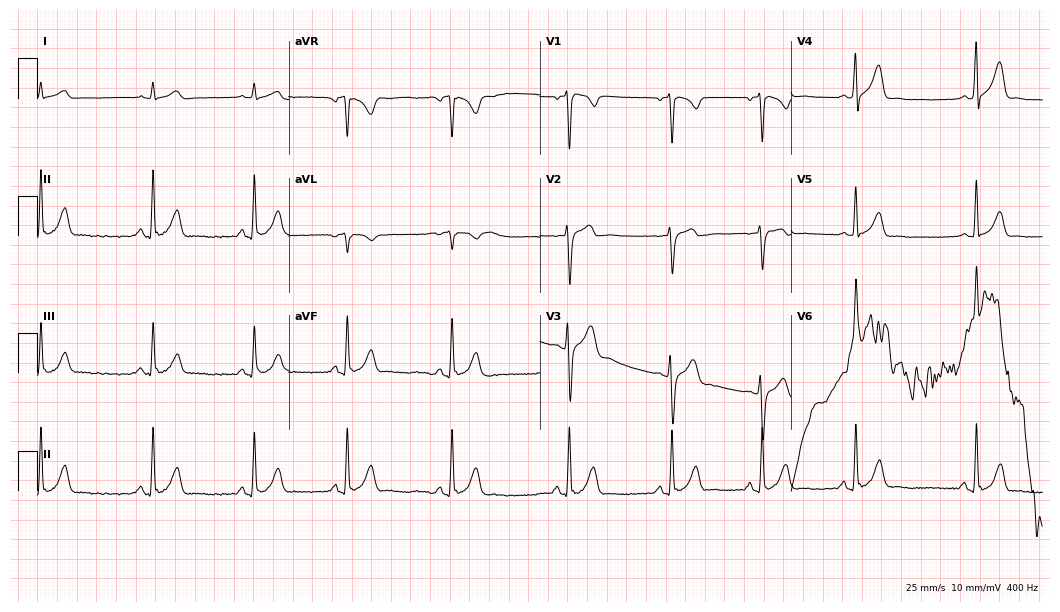
ECG (10.2-second recording at 400 Hz) — a 21-year-old man. Screened for six findings — first-degree AV block, right bundle branch block, left bundle branch block, sinus bradycardia, atrial fibrillation, sinus tachycardia — none is recorded. Findings outside these six are not listed.